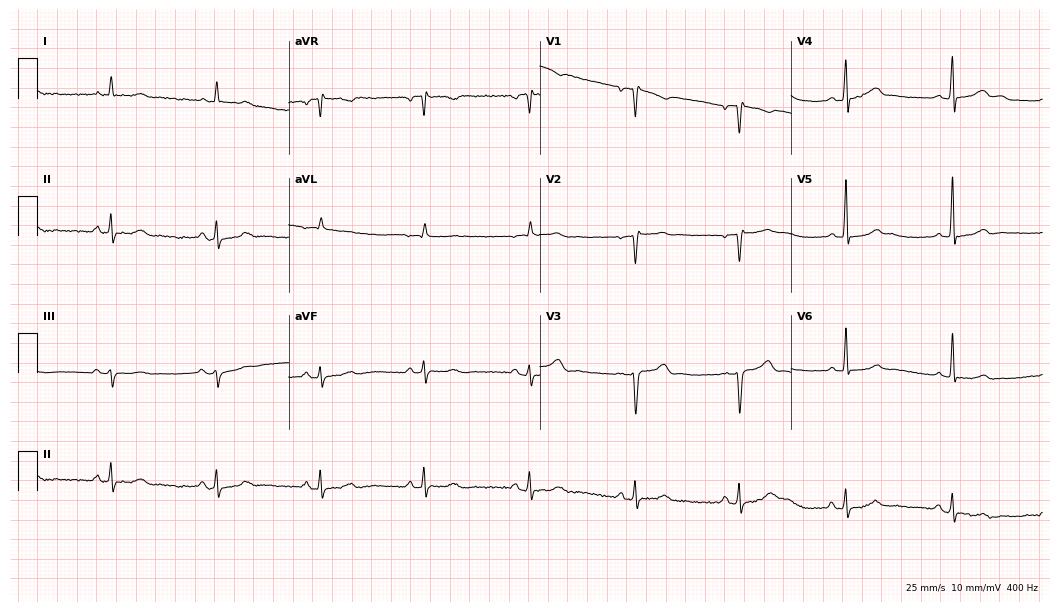
ECG (10.2-second recording at 400 Hz) — a 51-year-old woman. Screened for six findings — first-degree AV block, right bundle branch block (RBBB), left bundle branch block (LBBB), sinus bradycardia, atrial fibrillation (AF), sinus tachycardia — none is recorded.